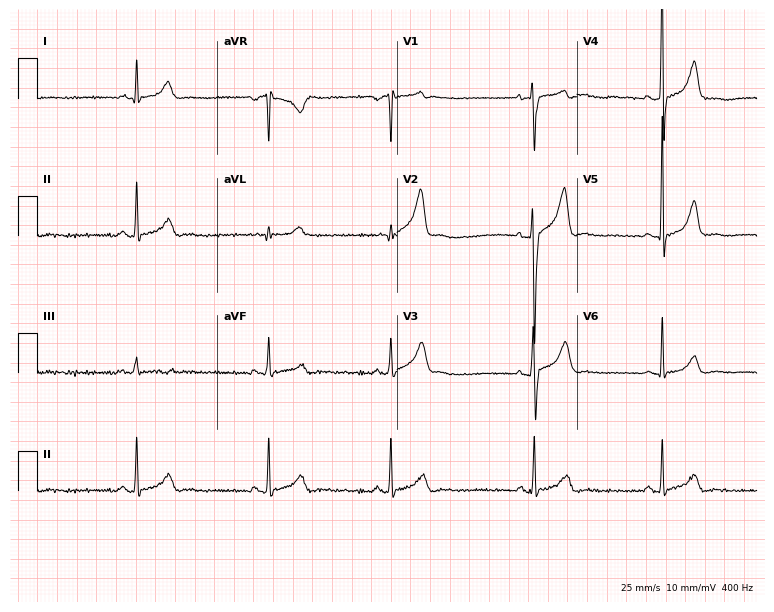
Resting 12-lead electrocardiogram. Patient: a 29-year-old man. The tracing shows sinus bradycardia (a sinus rate of 50 beats per minute or less).